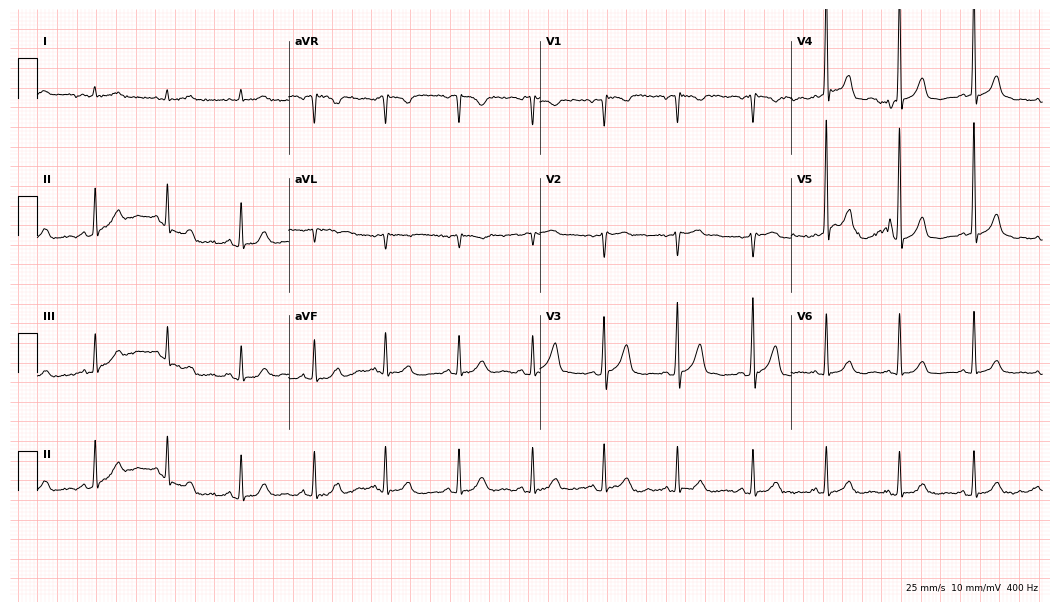
ECG (10.2-second recording at 400 Hz) — an 84-year-old female. Labelled as a normal ECG.